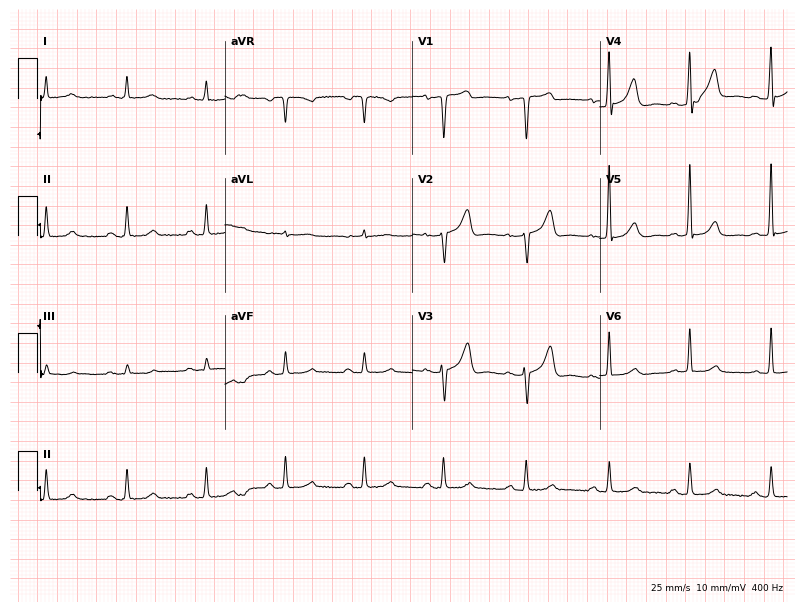
12-lead ECG from a male patient, 64 years old. No first-degree AV block, right bundle branch block, left bundle branch block, sinus bradycardia, atrial fibrillation or sinus tachycardia recorded for this tracing. Findings outside these six are not listed.